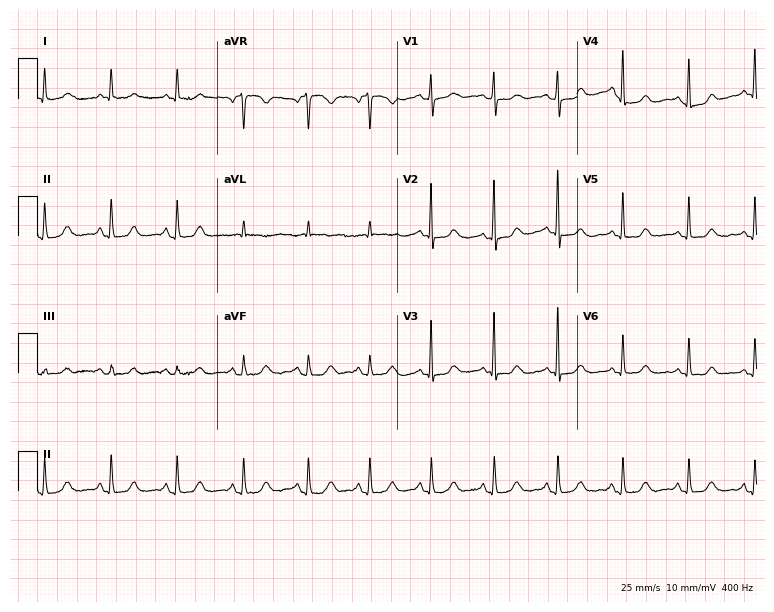
Resting 12-lead electrocardiogram (7.3-second recording at 400 Hz). Patient: an 83-year-old female. Read as a normal ECG.